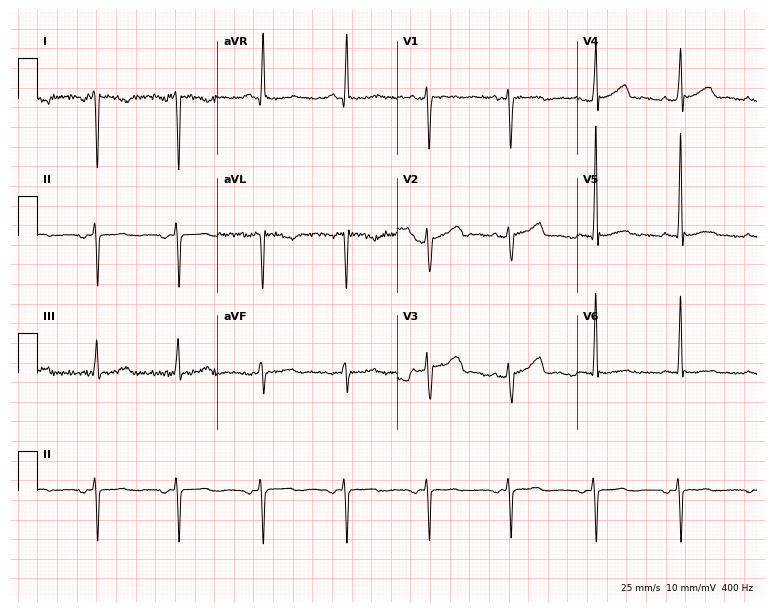
12-lead ECG (7.3-second recording at 400 Hz) from a 45-year-old female patient. Screened for six findings — first-degree AV block, right bundle branch block (RBBB), left bundle branch block (LBBB), sinus bradycardia, atrial fibrillation (AF), sinus tachycardia — none is recorded. Other findings, if any, are not listed.